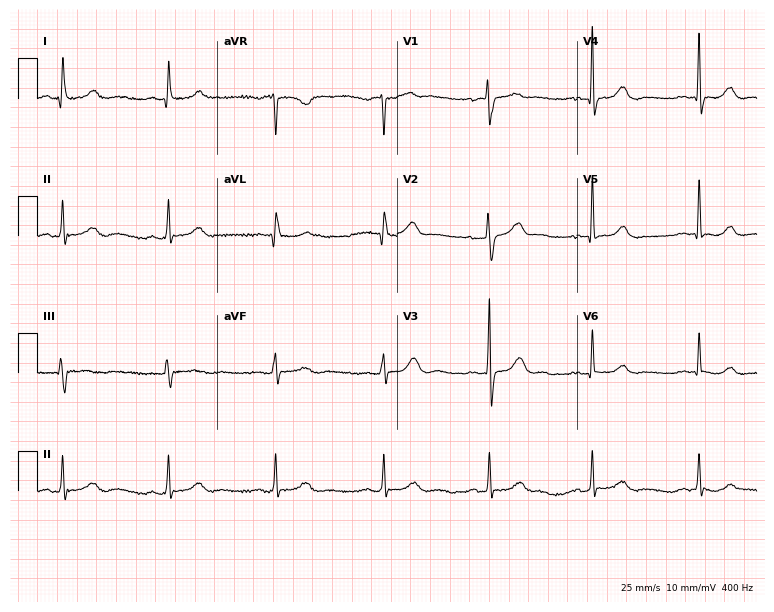
Electrocardiogram (7.3-second recording at 400 Hz), a 71-year-old female. Overall reading on record: normal ECG.